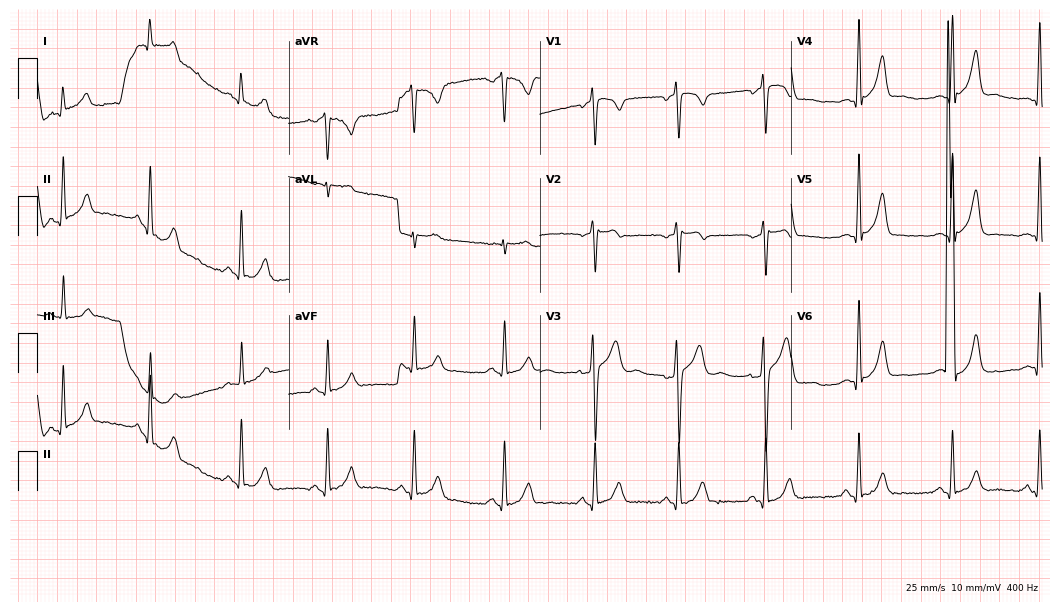
12-lead ECG from a man, 25 years old. Labelled as a normal ECG.